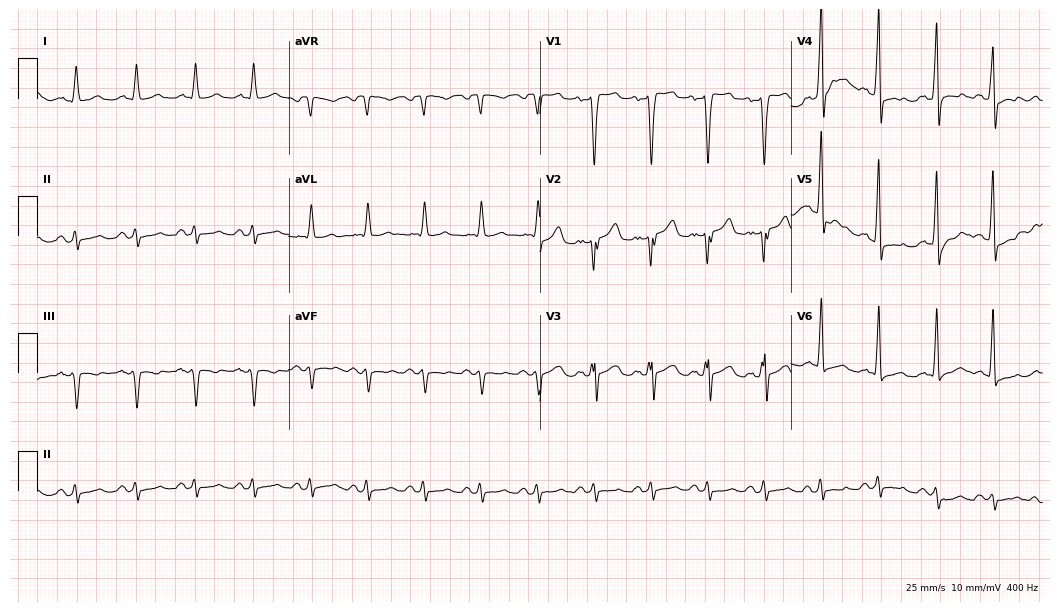
Standard 12-lead ECG recorded from a man, 55 years old. None of these six findings is recorded: first-degree AV block, right bundle branch block, left bundle branch block, sinus bradycardia, atrial fibrillation, sinus tachycardia.